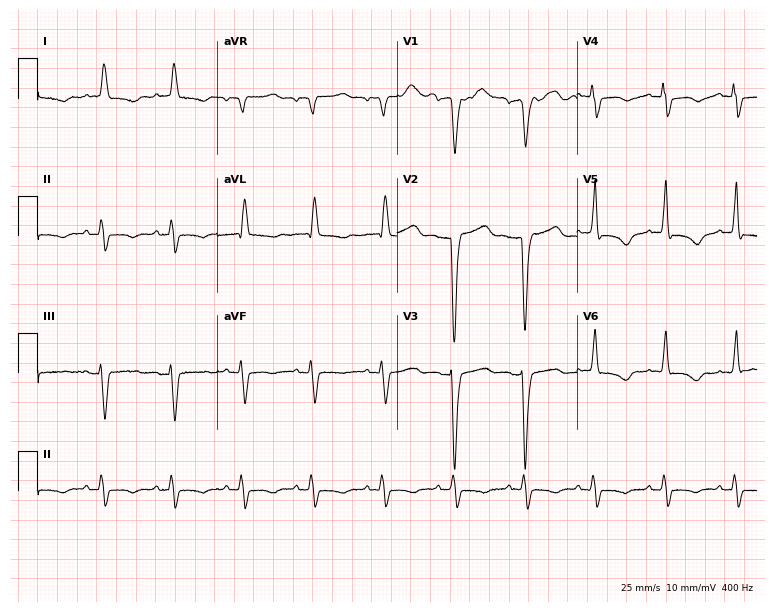
Electrocardiogram (7.3-second recording at 400 Hz), a female, 73 years old. Of the six screened findings (first-degree AV block, right bundle branch block, left bundle branch block, sinus bradycardia, atrial fibrillation, sinus tachycardia), none is recorded.